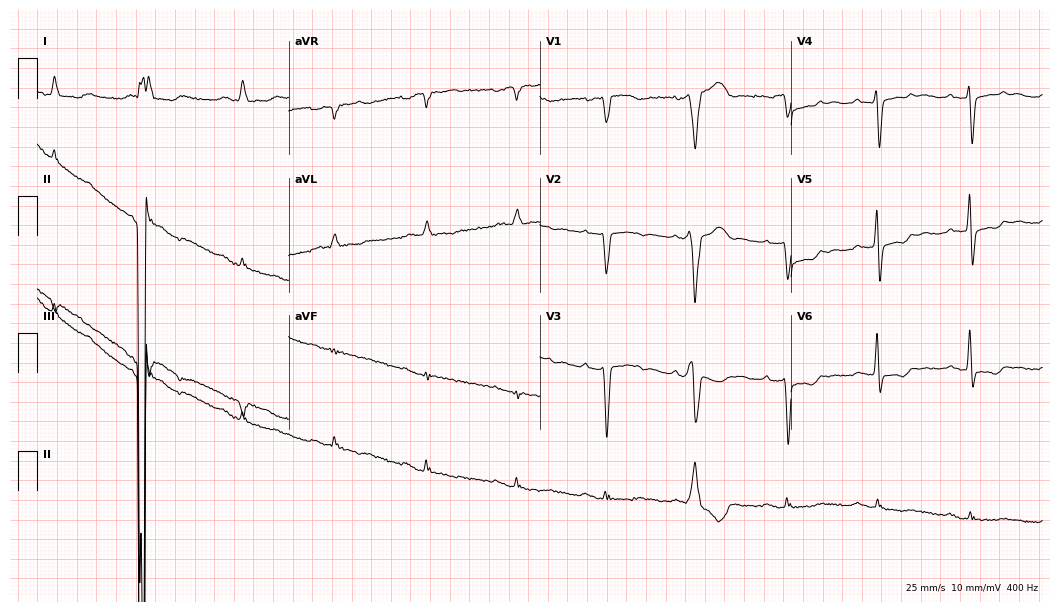
Electrocardiogram (10.2-second recording at 400 Hz), a man, 58 years old. Of the six screened findings (first-degree AV block, right bundle branch block, left bundle branch block, sinus bradycardia, atrial fibrillation, sinus tachycardia), none is recorded. Only these six findings were labelled.